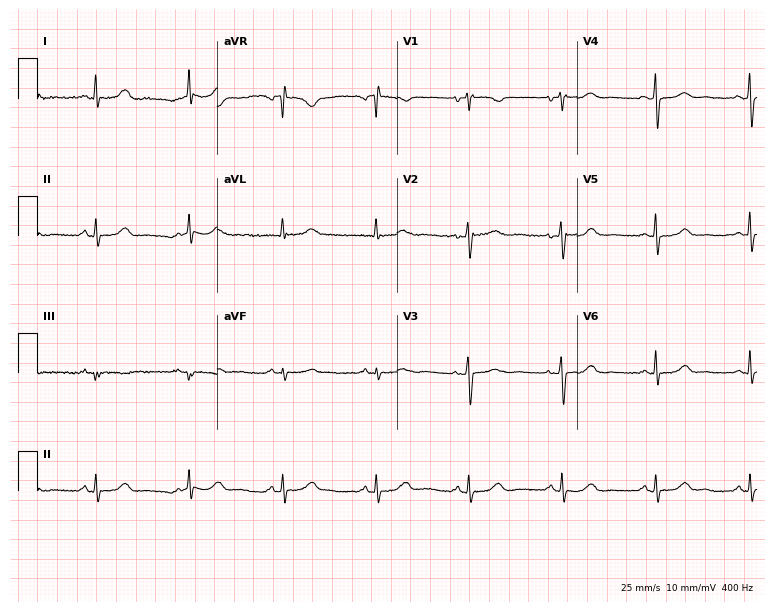
Standard 12-lead ECG recorded from a woman, 70 years old. None of these six findings is recorded: first-degree AV block, right bundle branch block (RBBB), left bundle branch block (LBBB), sinus bradycardia, atrial fibrillation (AF), sinus tachycardia.